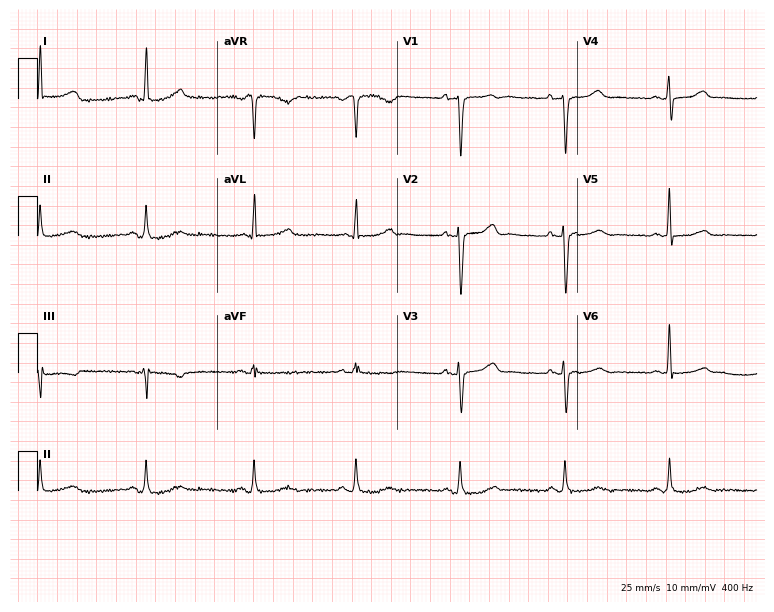
12-lead ECG from a female, 42 years old. Labelled as a normal ECG.